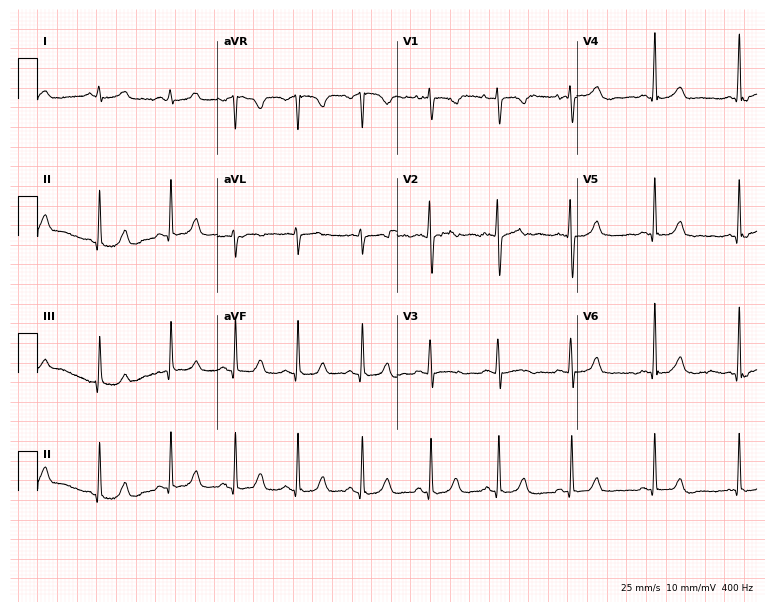
12-lead ECG from a female patient, 23 years old. Labelled as a normal ECG.